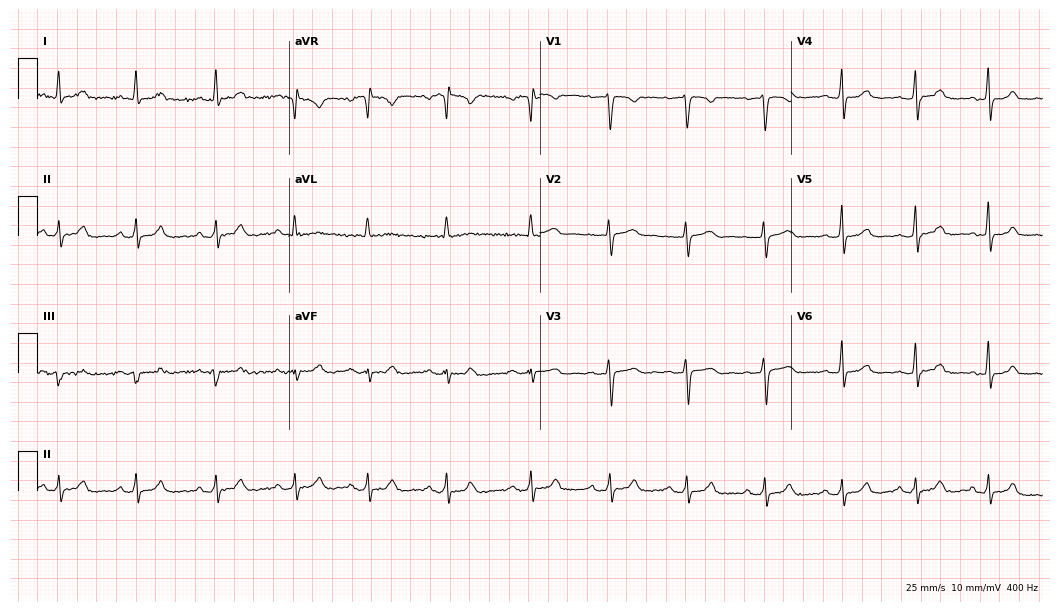
Resting 12-lead electrocardiogram (10.2-second recording at 400 Hz). Patient: a 42-year-old female. Read as a normal ECG.